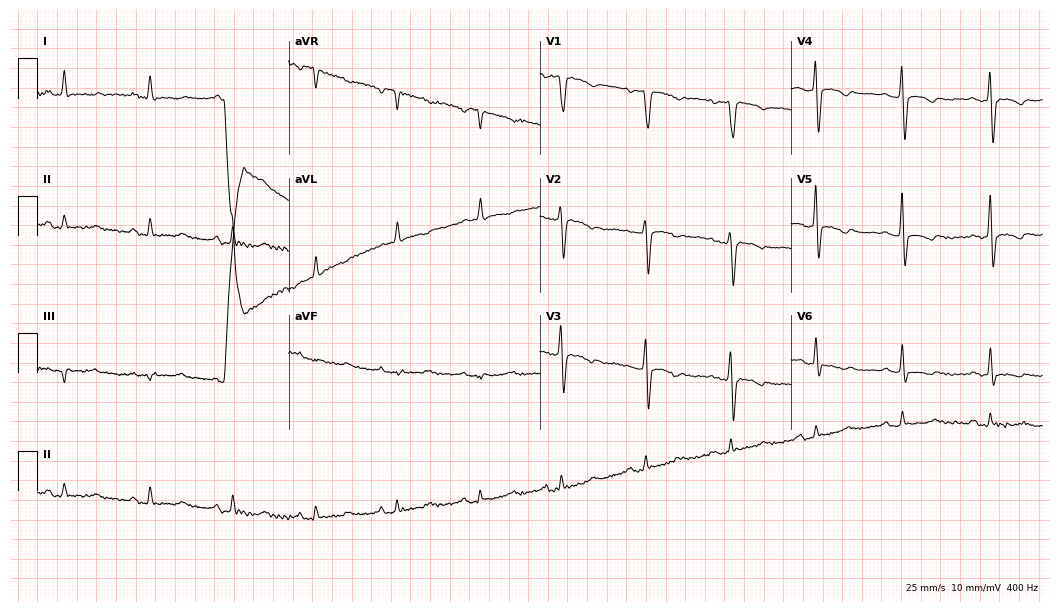
Resting 12-lead electrocardiogram. Patient: a female, 70 years old. None of these six findings is recorded: first-degree AV block, right bundle branch block (RBBB), left bundle branch block (LBBB), sinus bradycardia, atrial fibrillation (AF), sinus tachycardia. Other findings, if any, are not listed.